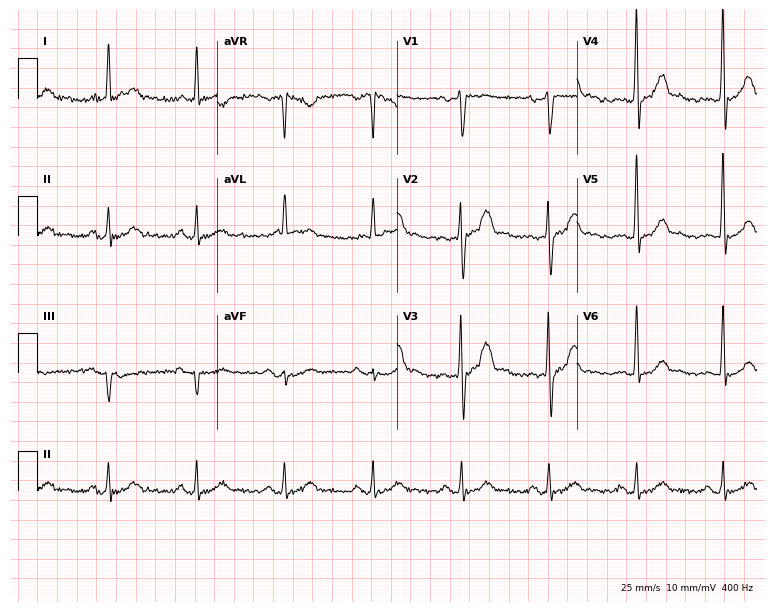
Electrocardiogram, a 43-year-old male patient. Overall reading on record: normal ECG.